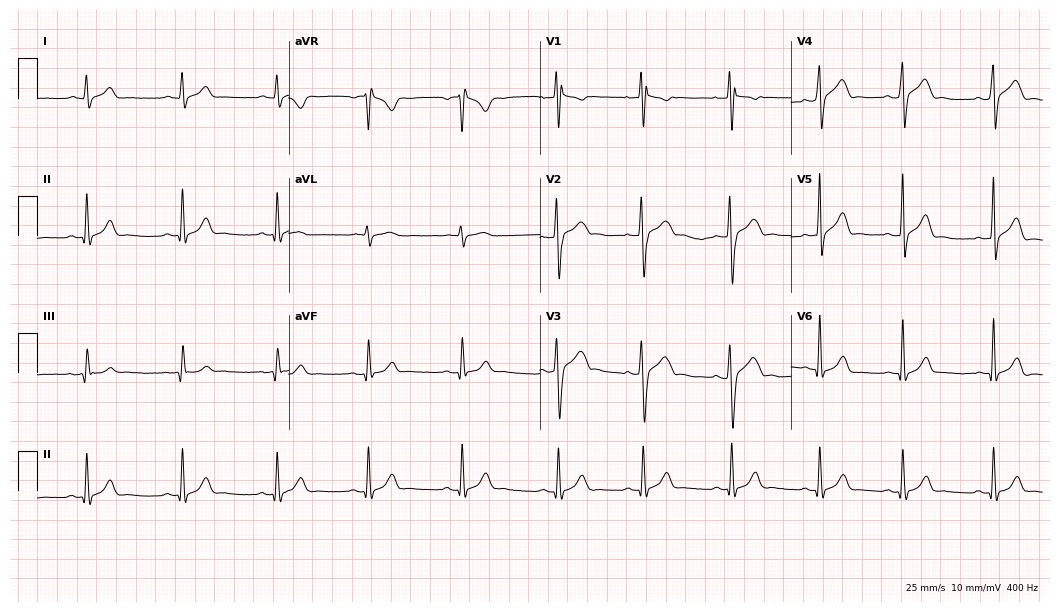
Resting 12-lead electrocardiogram. Patient: a male, 22 years old. None of these six findings is recorded: first-degree AV block, right bundle branch block, left bundle branch block, sinus bradycardia, atrial fibrillation, sinus tachycardia.